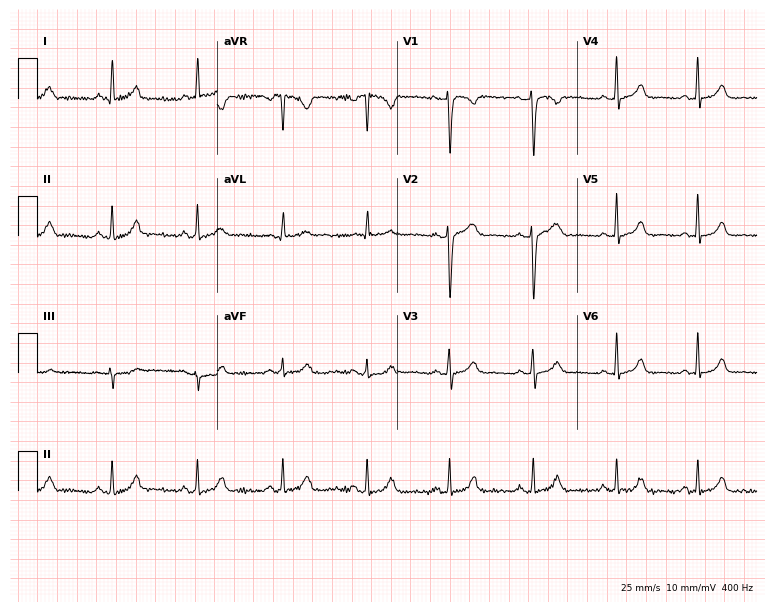
Standard 12-lead ECG recorded from a 40-year-old woman. Read as a normal ECG.